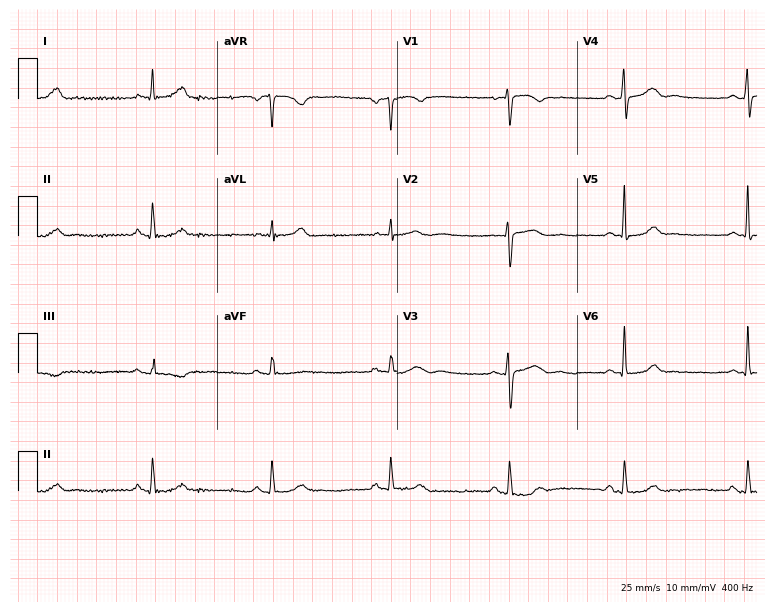
ECG (7.3-second recording at 400 Hz) — a female, 37 years old. Labelled as a normal ECG.